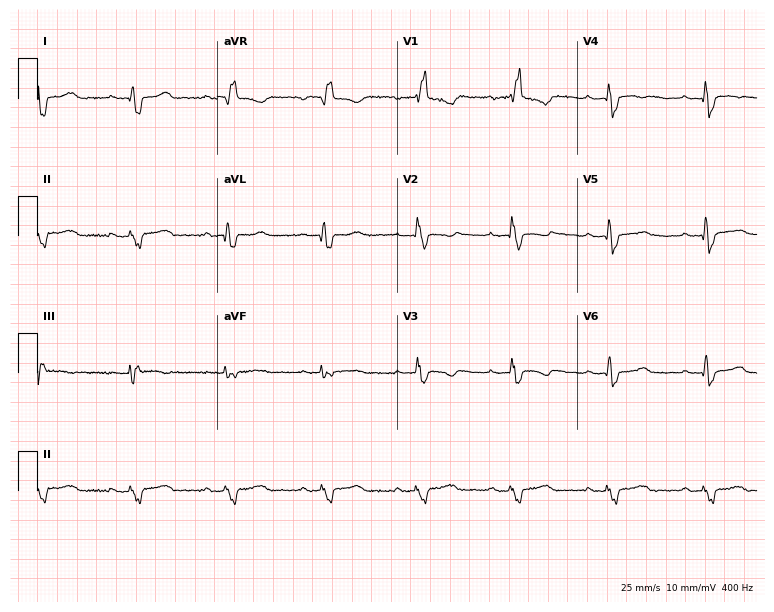
Resting 12-lead electrocardiogram (7.3-second recording at 400 Hz). Patient: a female, 36 years old. The tracing shows first-degree AV block, right bundle branch block.